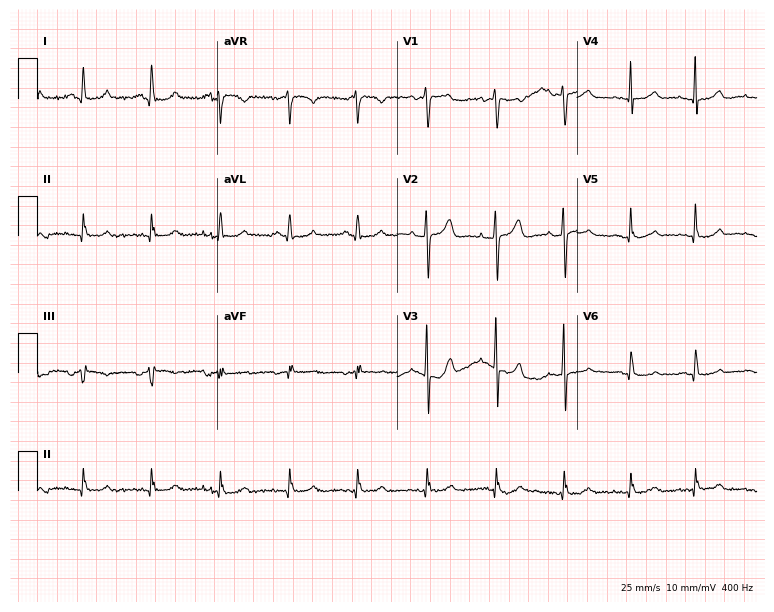
12-lead ECG from a 76-year-old woman. Labelled as a normal ECG.